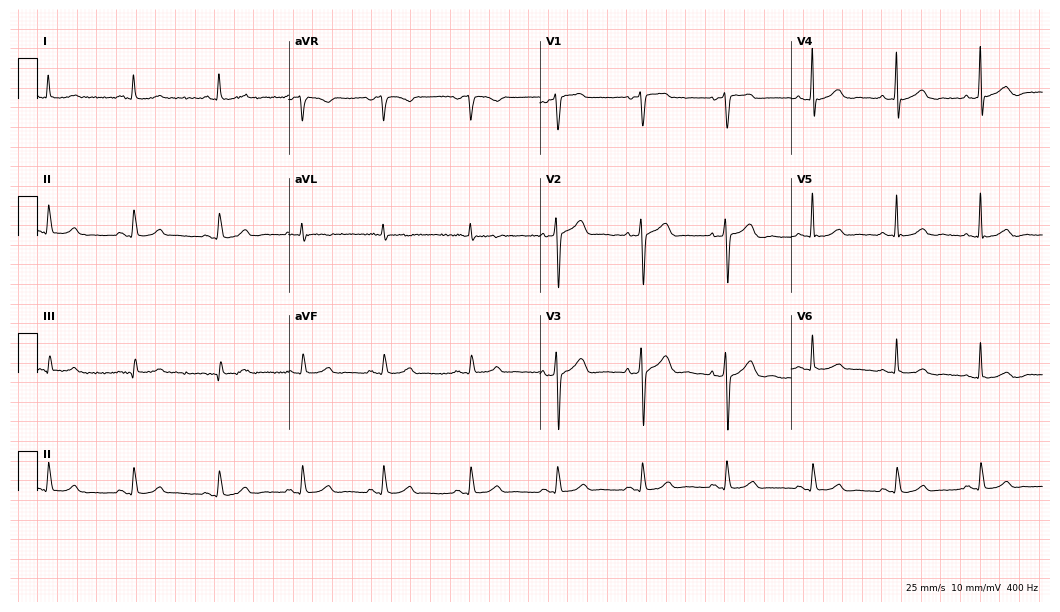
Standard 12-lead ECG recorded from a 56-year-old woman (10.2-second recording at 400 Hz). Read as a normal ECG.